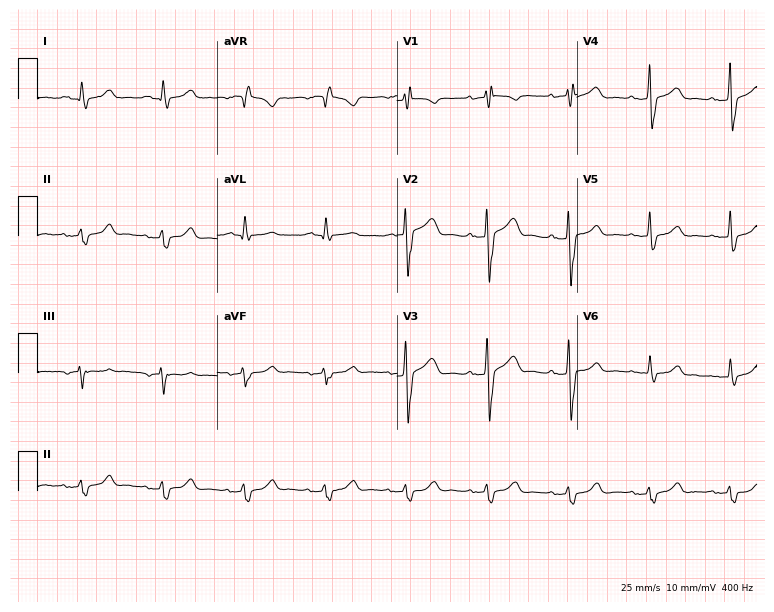
ECG — an 83-year-old male patient. Screened for six findings — first-degree AV block, right bundle branch block, left bundle branch block, sinus bradycardia, atrial fibrillation, sinus tachycardia — none is recorded.